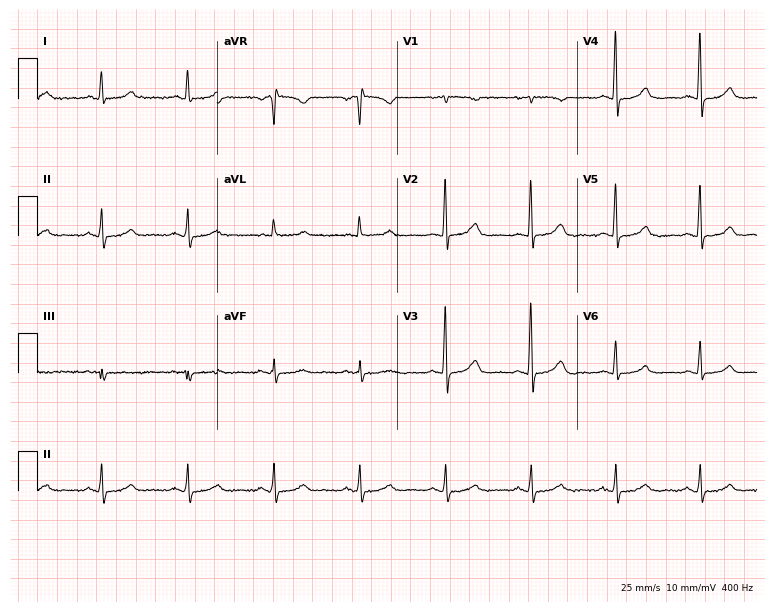
12-lead ECG from a female patient, 69 years old (7.3-second recording at 400 Hz). No first-degree AV block, right bundle branch block, left bundle branch block, sinus bradycardia, atrial fibrillation or sinus tachycardia recorded for this tracing. Other findings, if any, are not listed.